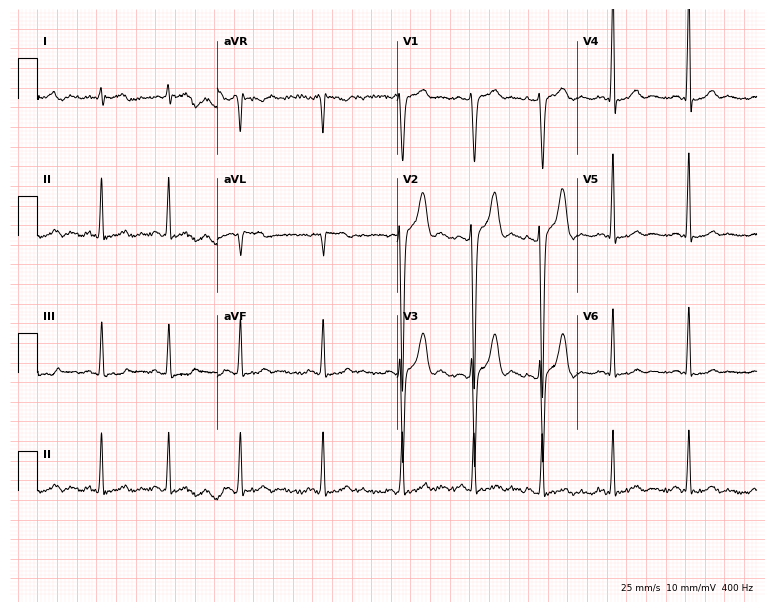
Standard 12-lead ECG recorded from a 23-year-old male patient. None of these six findings is recorded: first-degree AV block, right bundle branch block, left bundle branch block, sinus bradycardia, atrial fibrillation, sinus tachycardia. Only these six findings were labelled.